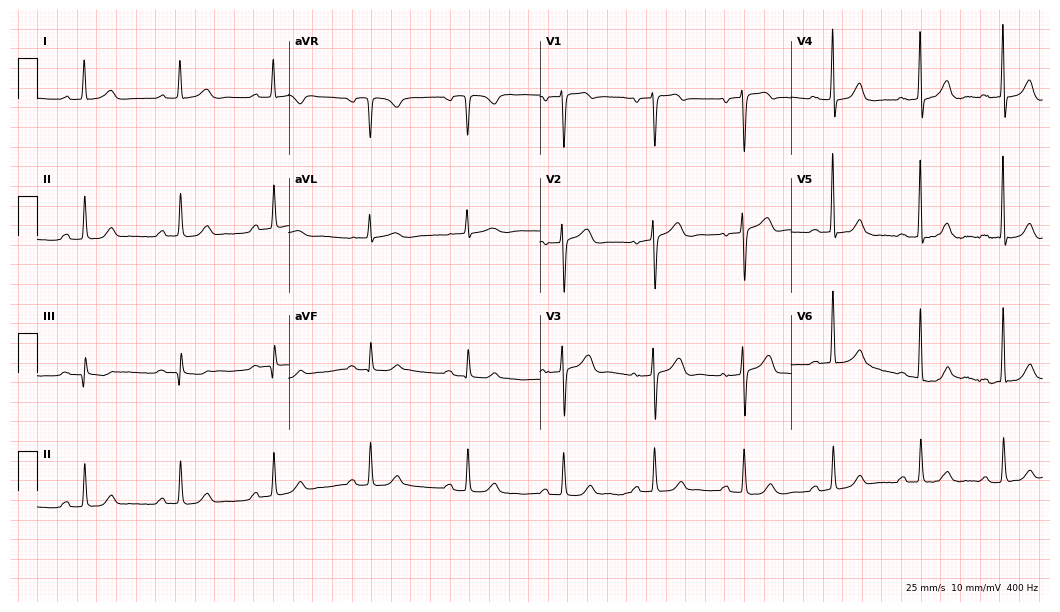
ECG — a 68-year-old female. Screened for six findings — first-degree AV block, right bundle branch block (RBBB), left bundle branch block (LBBB), sinus bradycardia, atrial fibrillation (AF), sinus tachycardia — none is recorded.